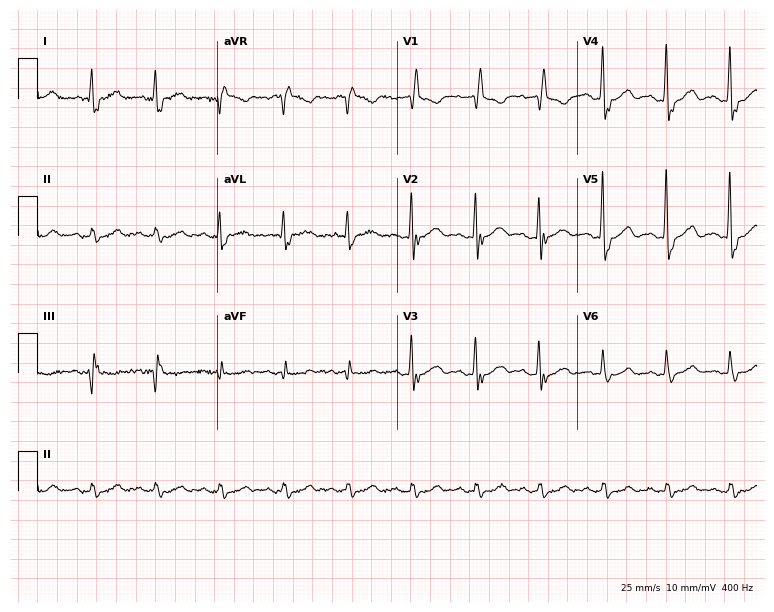
Standard 12-lead ECG recorded from a male patient, 71 years old. The tracing shows right bundle branch block (RBBB).